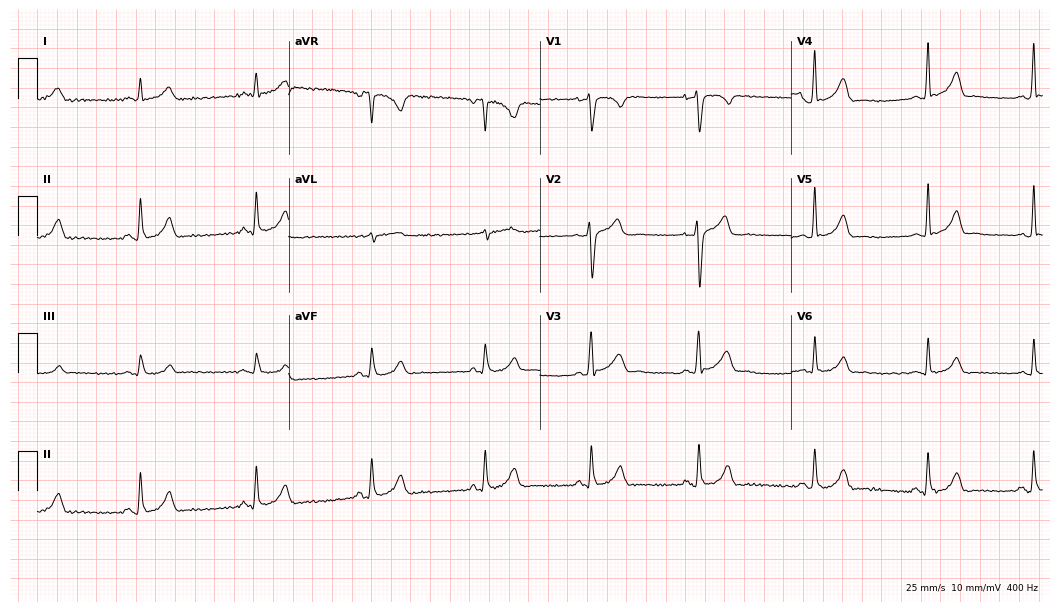
12-lead ECG from a 27-year-old male. Recorded interpretation: within normal limits.